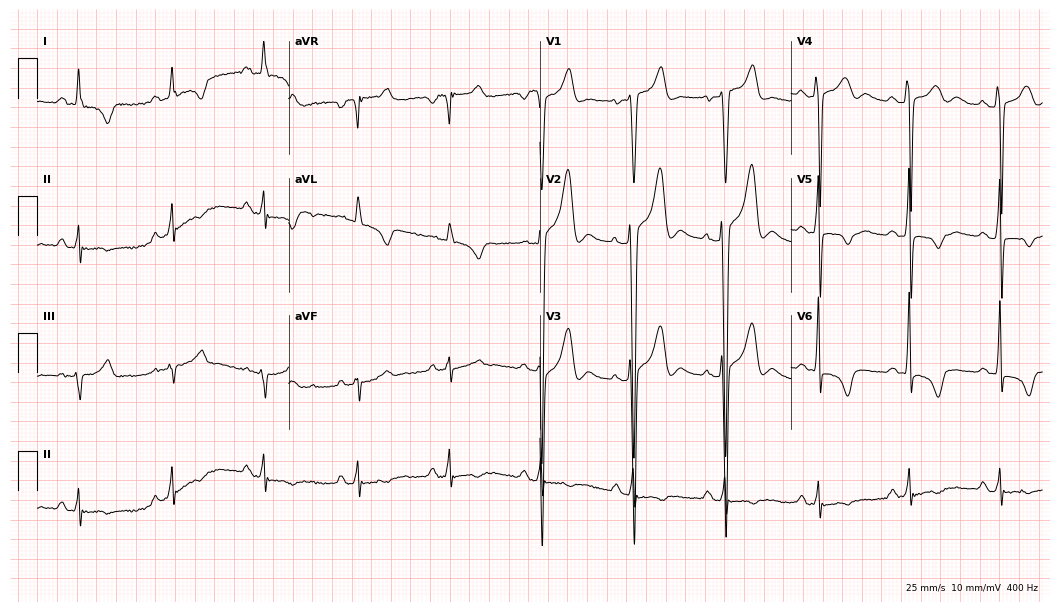
ECG (10.2-second recording at 400 Hz) — a 29-year-old male patient. Screened for six findings — first-degree AV block, right bundle branch block, left bundle branch block, sinus bradycardia, atrial fibrillation, sinus tachycardia — none is recorded. Findings outside these six are not listed.